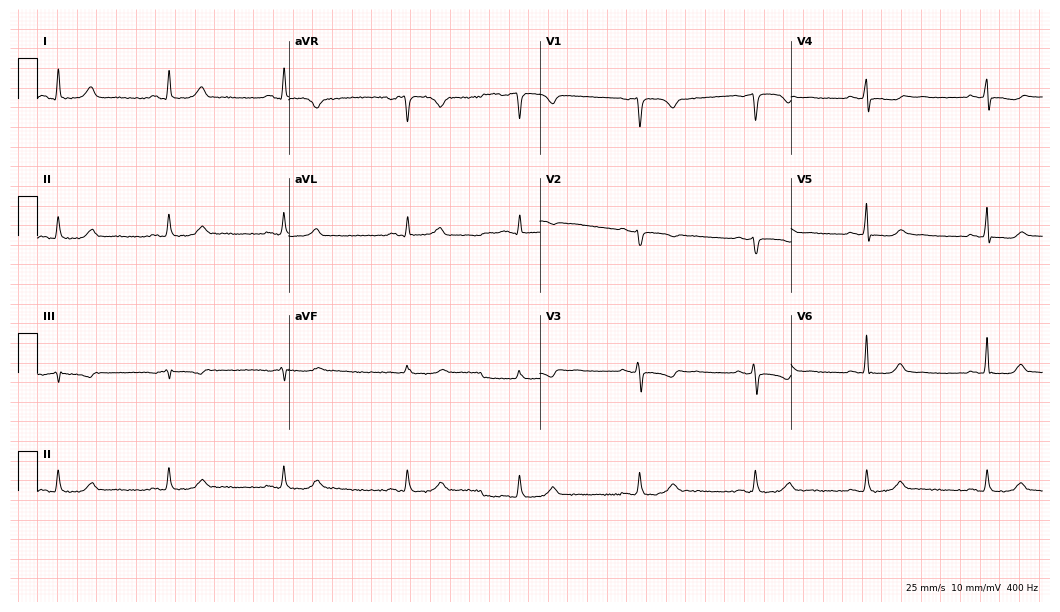
Standard 12-lead ECG recorded from a 50-year-old woman. None of these six findings is recorded: first-degree AV block, right bundle branch block (RBBB), left bundle branch block (LBBB), sinus bradycardia, atrial fibrillation (AF), sinus tachycardia. Only these six findings were labelled.